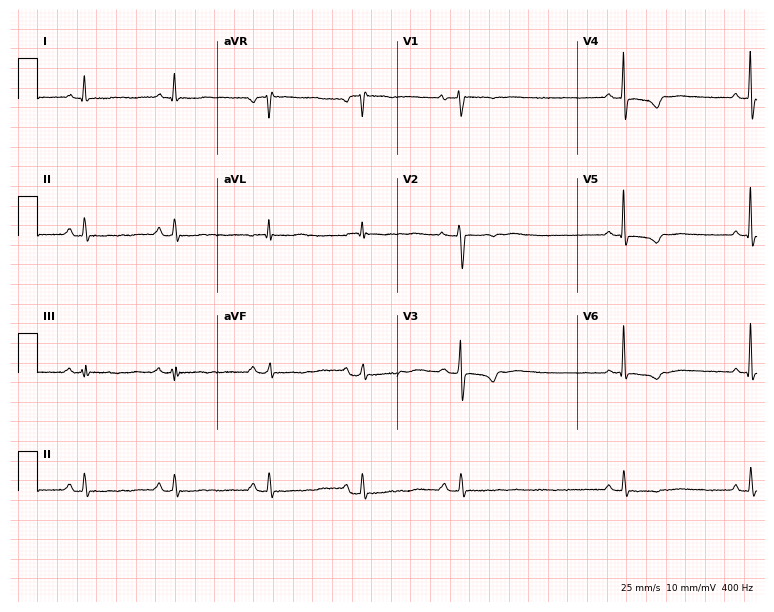
Standard 12-lead ECG recorded from a 59-year-old woman. None of these six findings is recorded: first-degree AV block, right bundle branch block, left bundle branch block, sinus bradycardia, atrial fibrillation, sinus tachycardia.